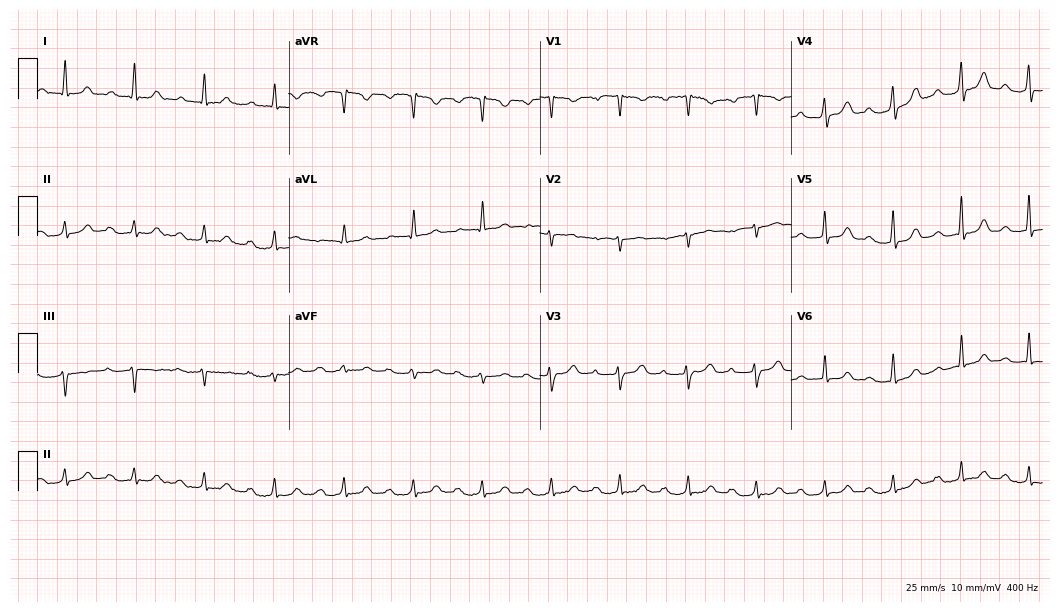
12-lead ECG from an 80-year-old female. Shows first-degree AV block.